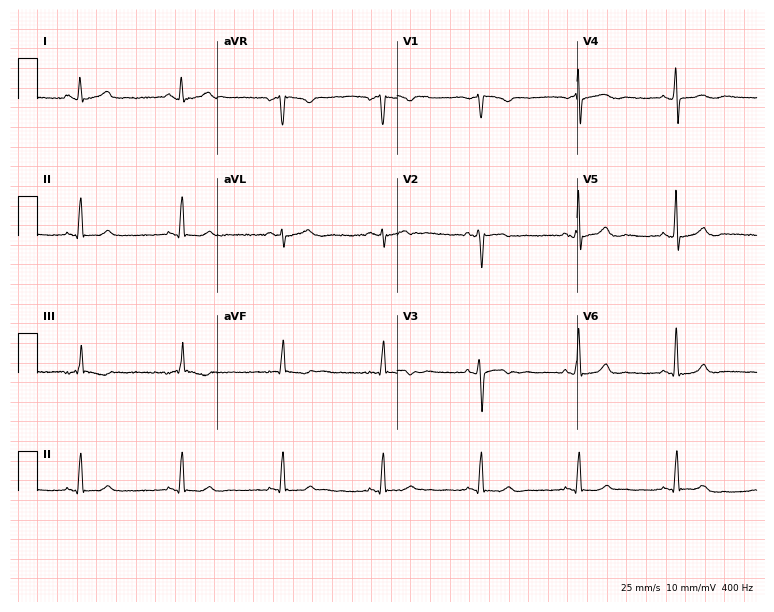
12-lead ECG from a 43-year-old female patient. No first-degree AV block, right bundle branch block, left bundle branch block, sinus bradycardia, atrial fibrillation or sinus tachycardia recorded for this tracing.